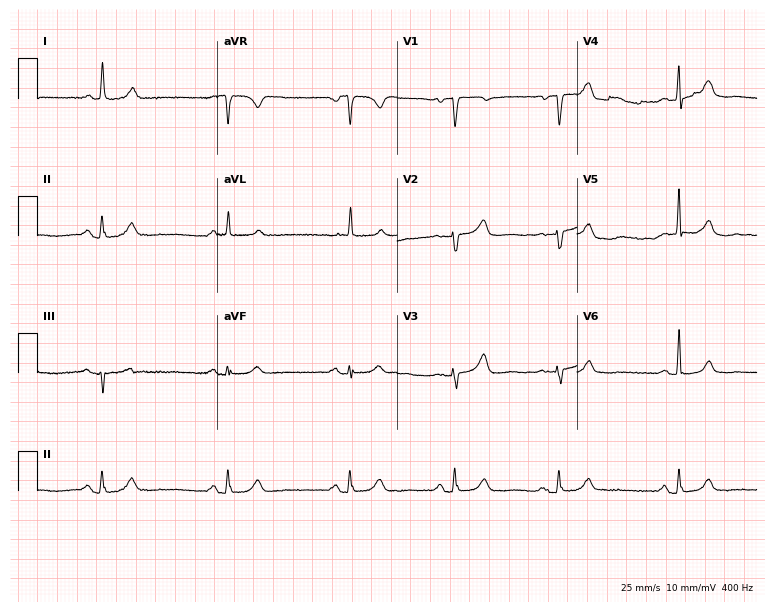
Resting 12-lead electrocardiogram. Patient: a female, 77 years old. None of these six findings is recorded: first-degree AV block, right bundle branch block, left bundle branch block, sinus bradycardia, atrial fibrillation, sinus tachycardia. Other findings, if any, are not listed.